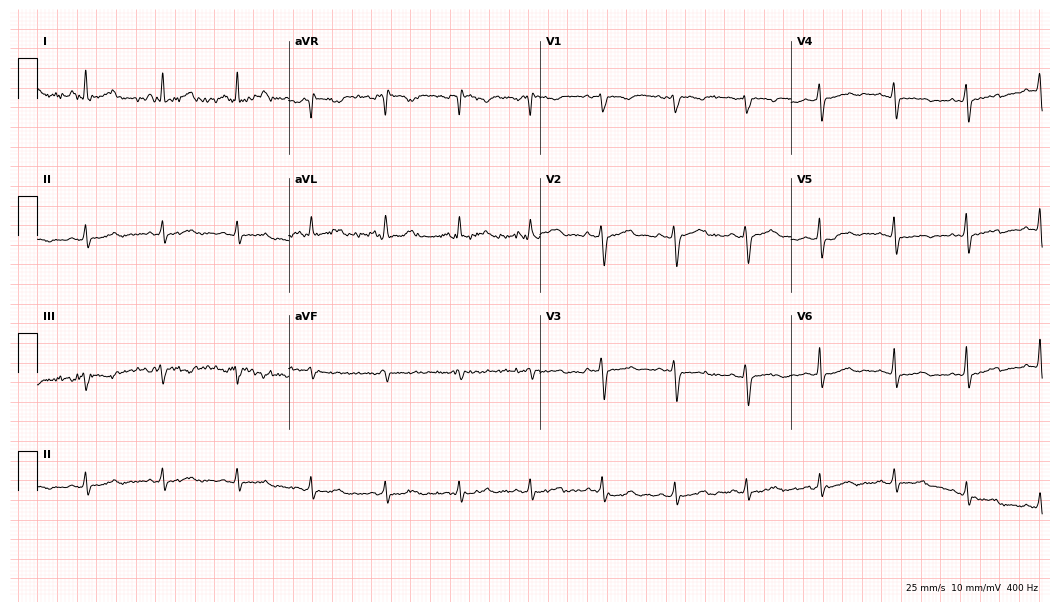
ECG — a woman, 38 years old. Labelled as a normal ECG.